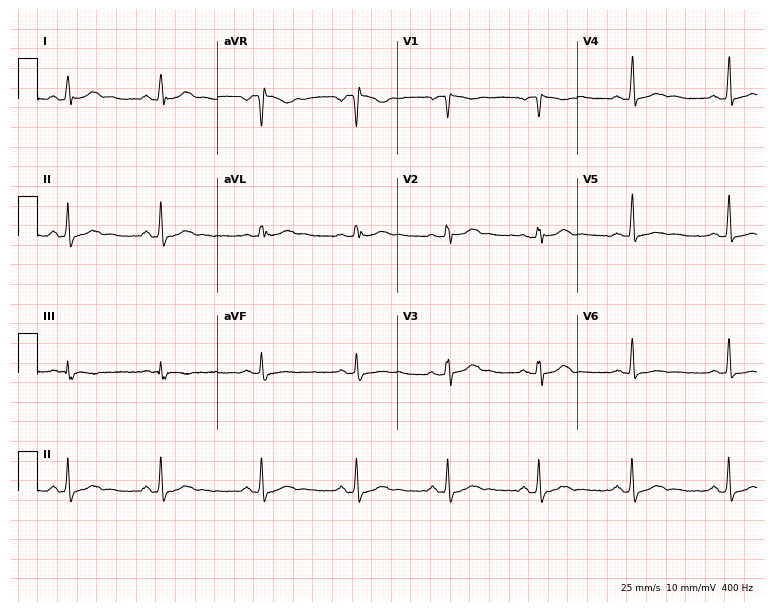
Resting 12-lead electrocardiogram (7.3-second recording at 400 Hz). Patient: a 44-year-old man. None of these six findings is recorded: first-degree AV block, right bundle branch block, left bundle branch block, sinus bradycardia, atrial fibrillation, sinus tachycardia. Other findings, if any, are not listed.